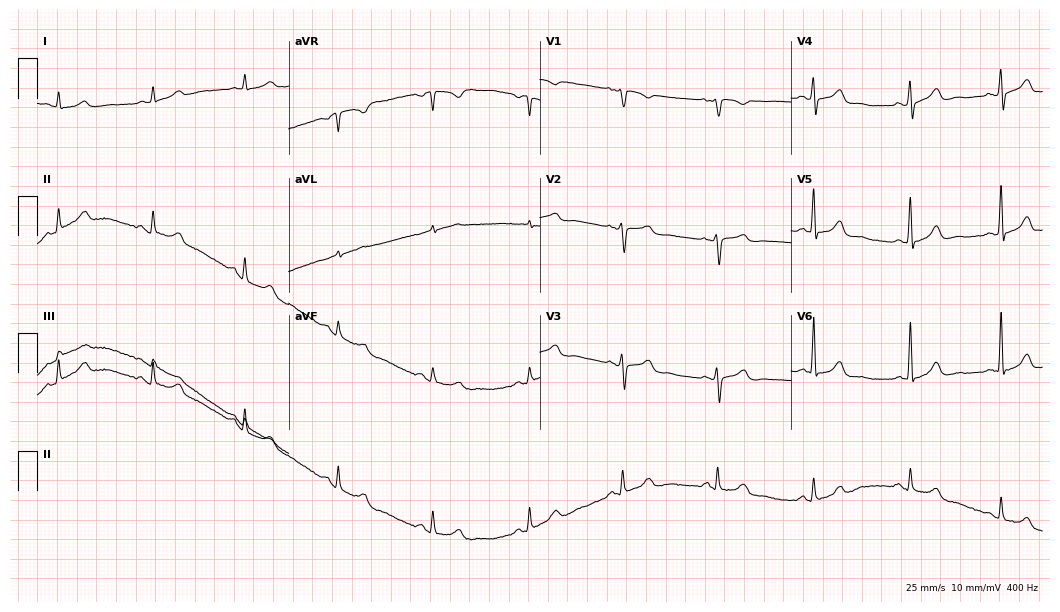
ECG — a female patient, 53 years old. Labelled as a normal ECG.